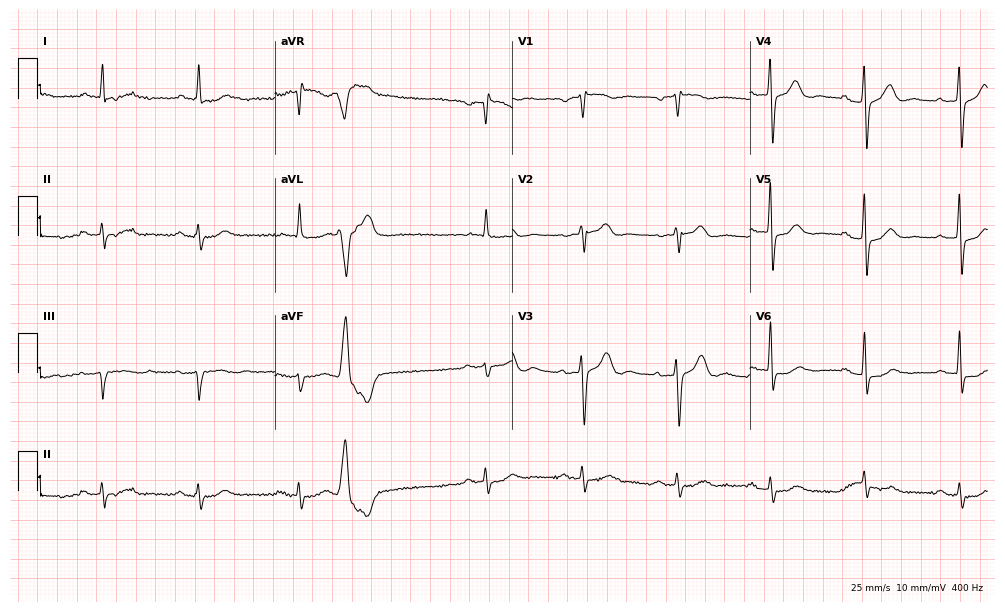
Resting 12-lead electrocardiogram (9.7-second recording at 400 Hz). Patient: a man, 83 years old. None of these six findings is recorded: first-degree AV block, right bundle branch block, left bundle branch block, sinus bradycardia, atrial fibrillation, sinus tachycardia.